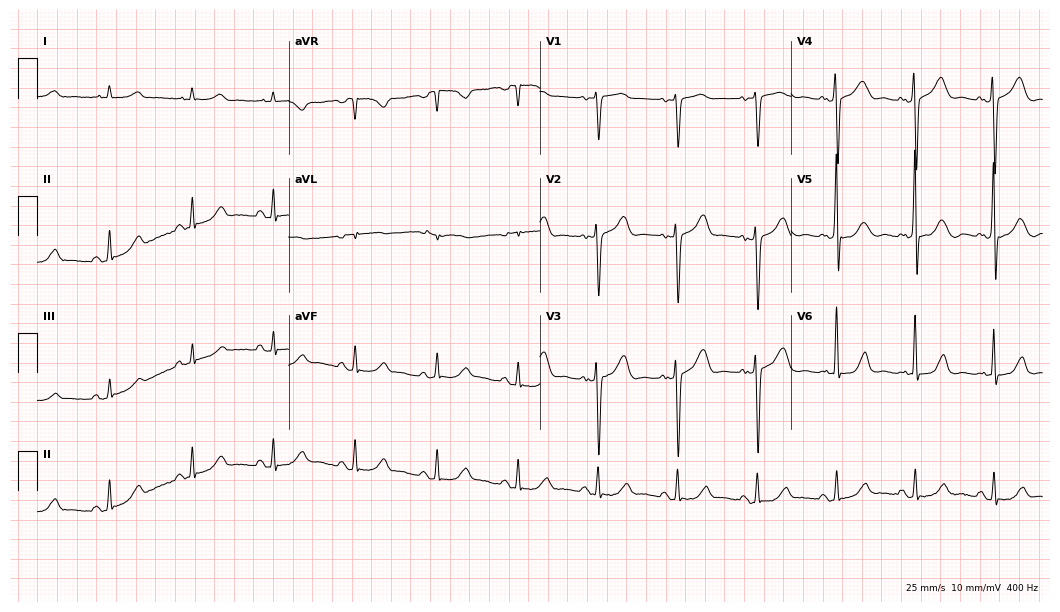
ECG — a 50-year-old male patient. Labelled as a normal ECG.